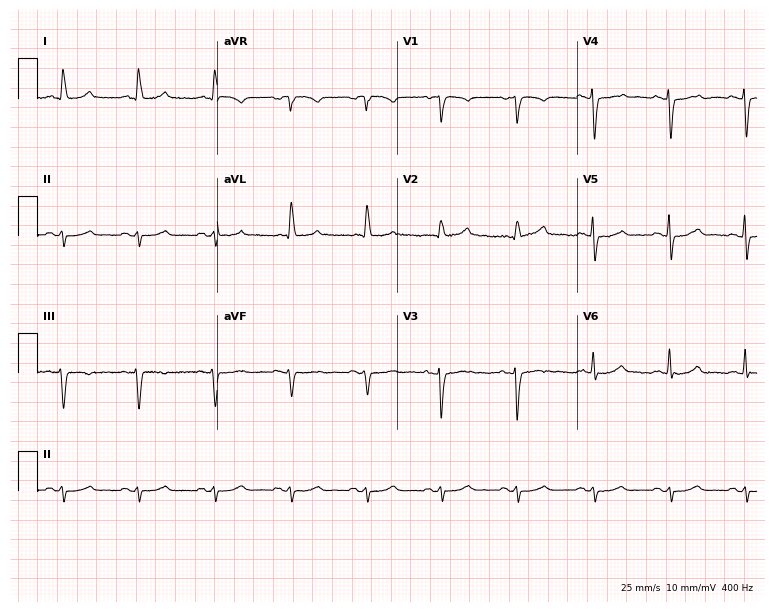
Standard 12-lead ECG recorded from an 80-year-old male patient. None of these six findings is recorded: first-degree AV block, right bundle branch block (RBBB), left bundle branch block (LBBB), sinus bradycardia, atrial fibrillation (AF), sinus tachycardia. Only these six findings were labelled.